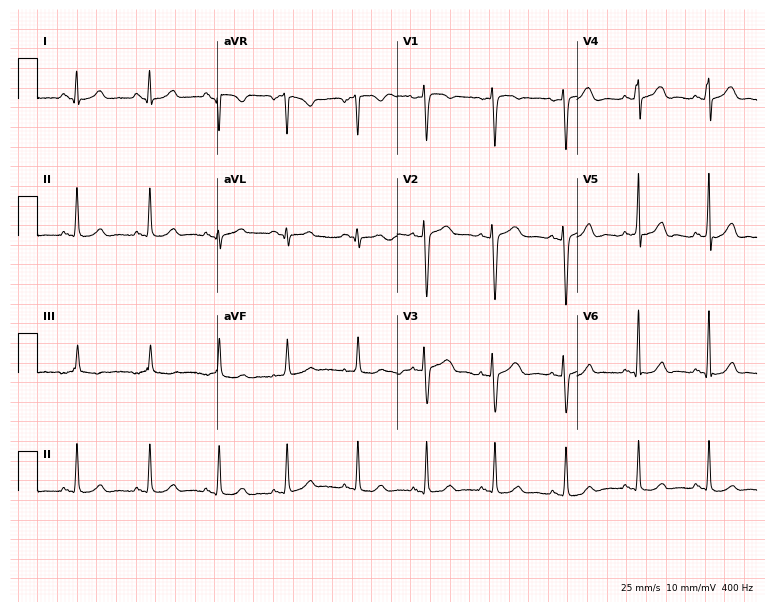
12-lead ECG (7.3-second recording at 400 Hz) from a female, 17 years old. Labelled as a normal ECG.